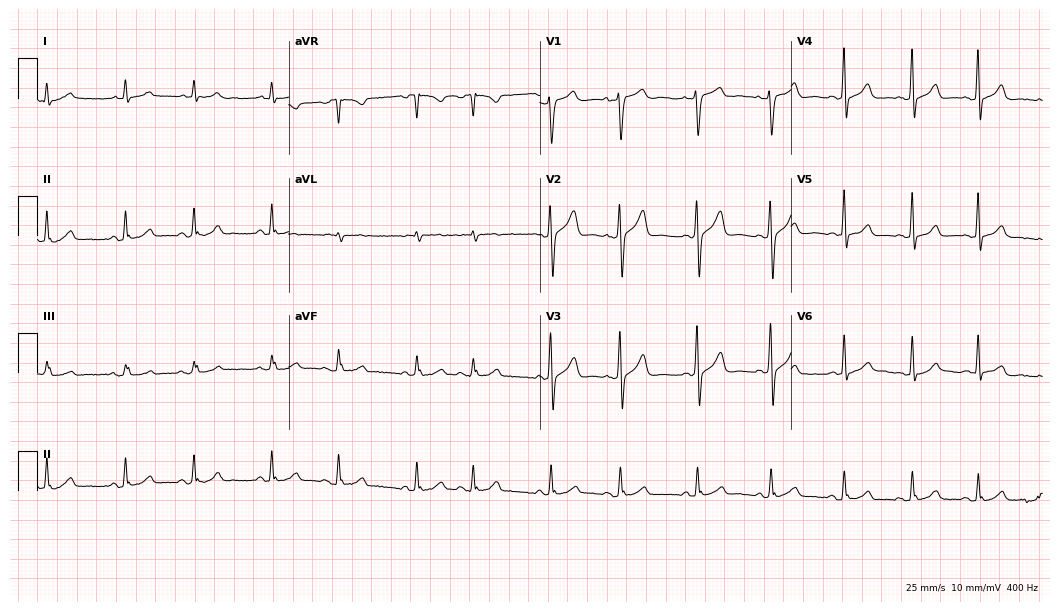
Electrocardiogram, a male patient, 66 years old. Of the six screened findings (first-degree AV block, right bundle branch block, left bundle branch block, sinus bradycardia, atrial fibrillation, sinus tachycardia), none is recorded. Findings outside these six are not listed.